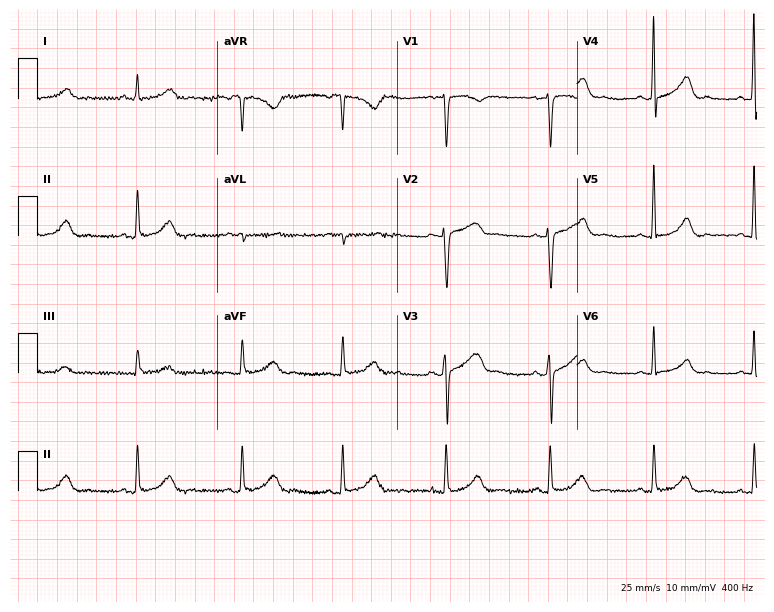
Electrocardiogram (7.3-second recording at 400 Hz), a 57-year-old female. Overall reading on record: normal ECG.